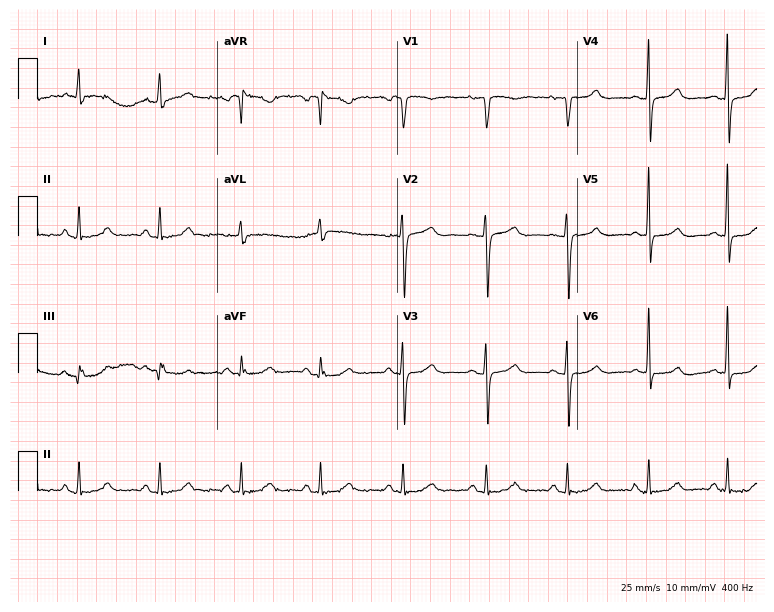
Resting 12-lead electrocardiogram. Patient: a female, 74 years old. Read as a normal ECG.